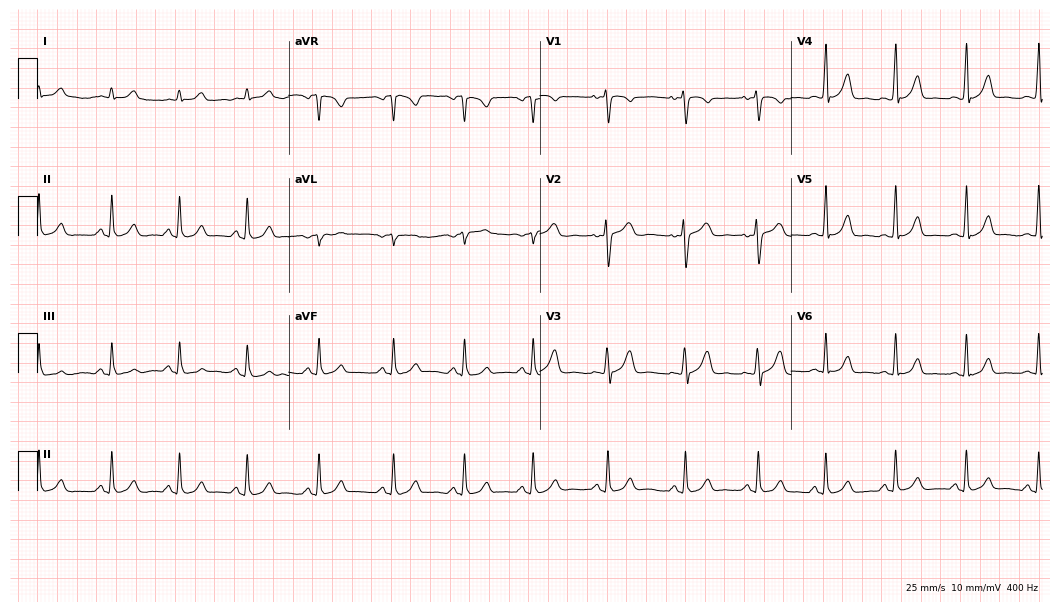
12-lead ECG from a woman, 21 years old. Screened for six findings — first-degree AV block, right bundle branch block (RBBB), left bundle branch block (LBBB), sinus bradycardia, atrial fibrillation (AF), sinus tachycardia — none is recorded. Only these six findings were labelled.